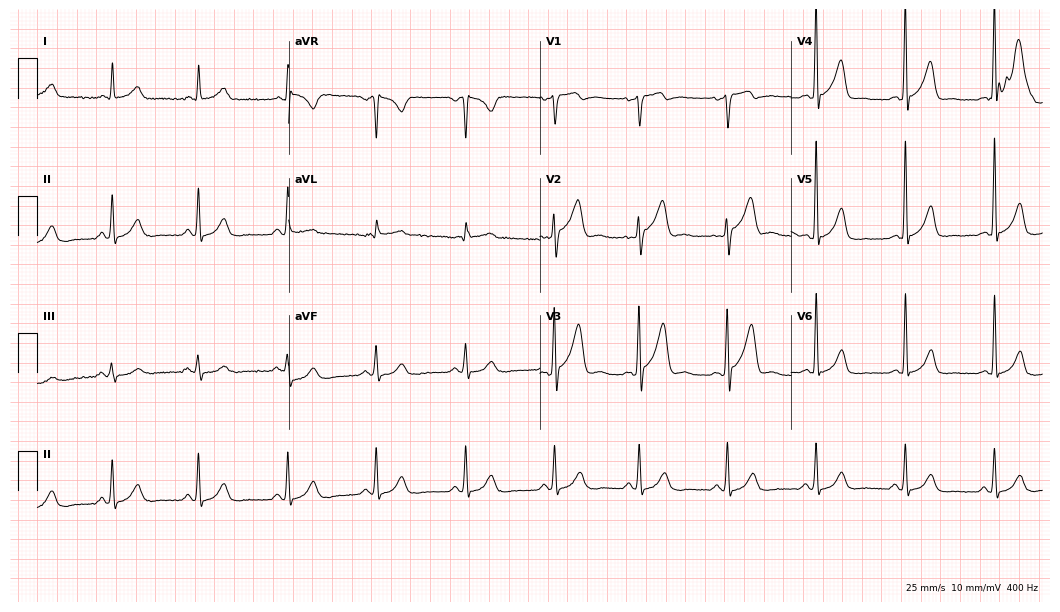
Standard 12-lead ECG recorded from a male, 64 years old. None of these six findings is recorded: first-degree AV block, right bundle branch block, left bundle branch block, sinus bradycardia, atrial fibrillation, sinus tachycardia. Other findings, if any, are not listed.